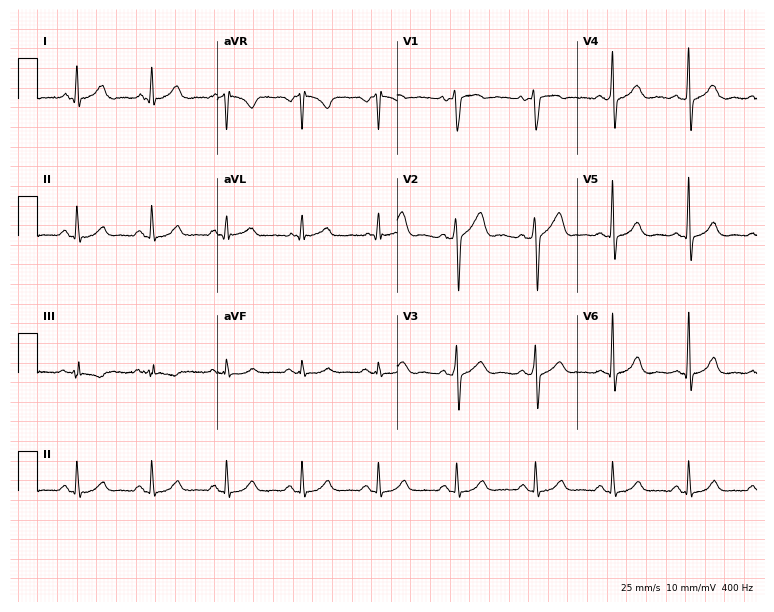
12-lead ECG from a man, 43 years old. Screened for six findings — first-degree AV block, right bundle branch block, left bundle branch block, sinus bradycardia, atrial fibrillation, sinus tachycardia — none is recorded. Only these six findings were labelled.